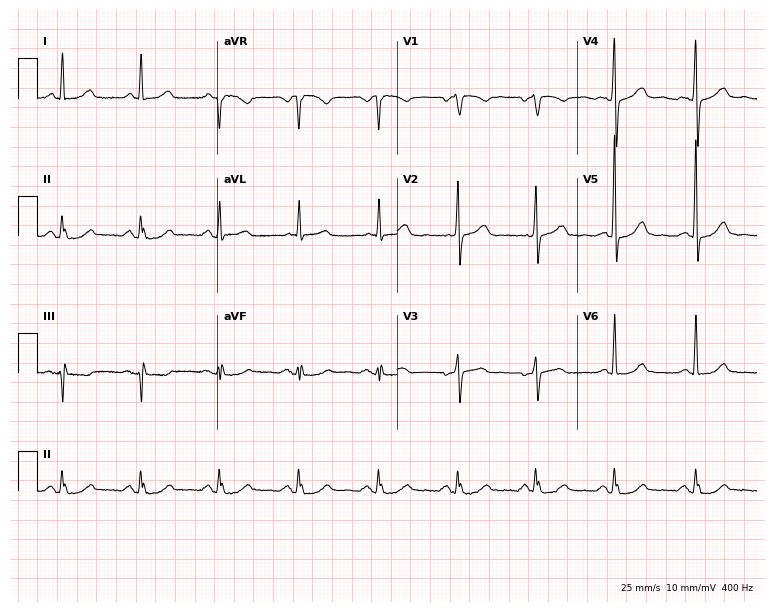
Resting 12-lead electrocardiogram (7.3-second recording at 400 Hz). Patient: a 56-year-old woman. Read as a normal ECG.